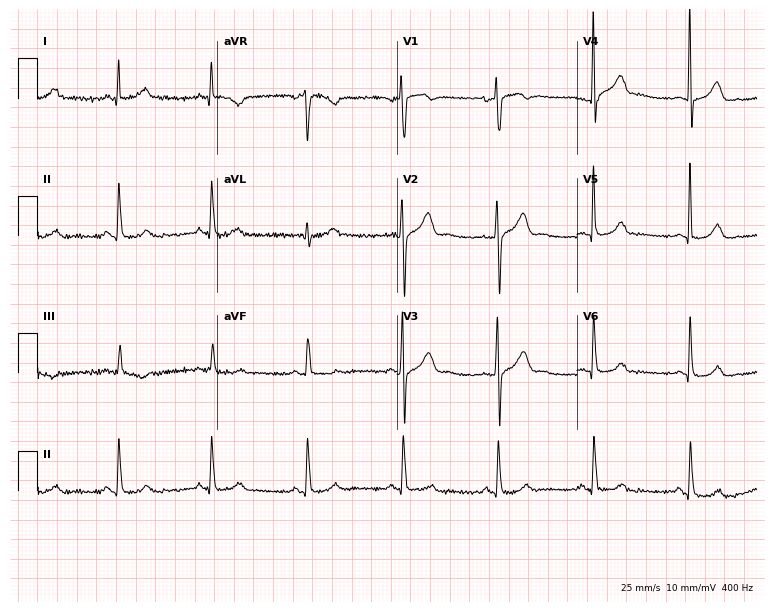
Resting 12-lead electrocardiogram. Patient: a male, 47 years old. None of these six findings is recorded: first-degree AV block, right bundle branch block (RBBB), left bundle branch block (LBBB), sinus bradycardia, atrial fibrillation (AF), sinus tachycardia. Findings outside these six are not listed.